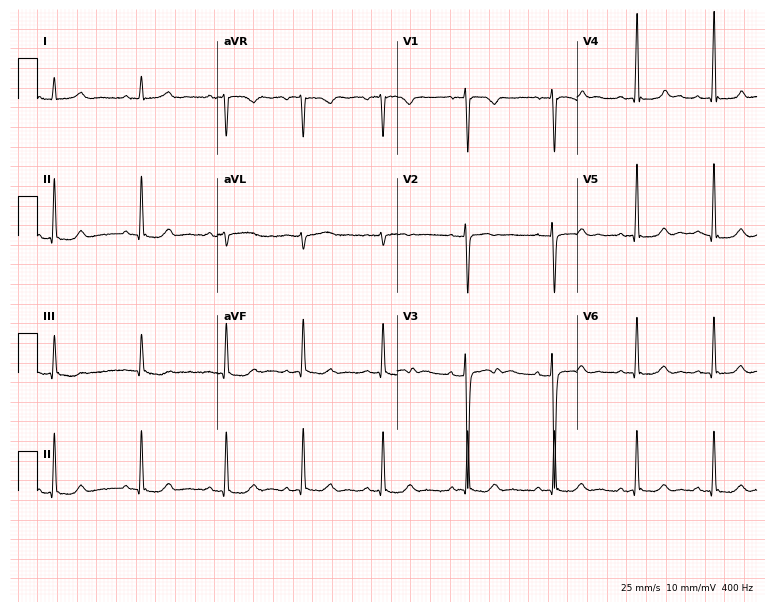
12-lead ECG from a female, 24 years old. Screened for six findings — first-degree AV block, right bundle branch block, left bundle branch block, sinus bradycardia, atrial fibrillation, sinus tachycardia — none is recorded.